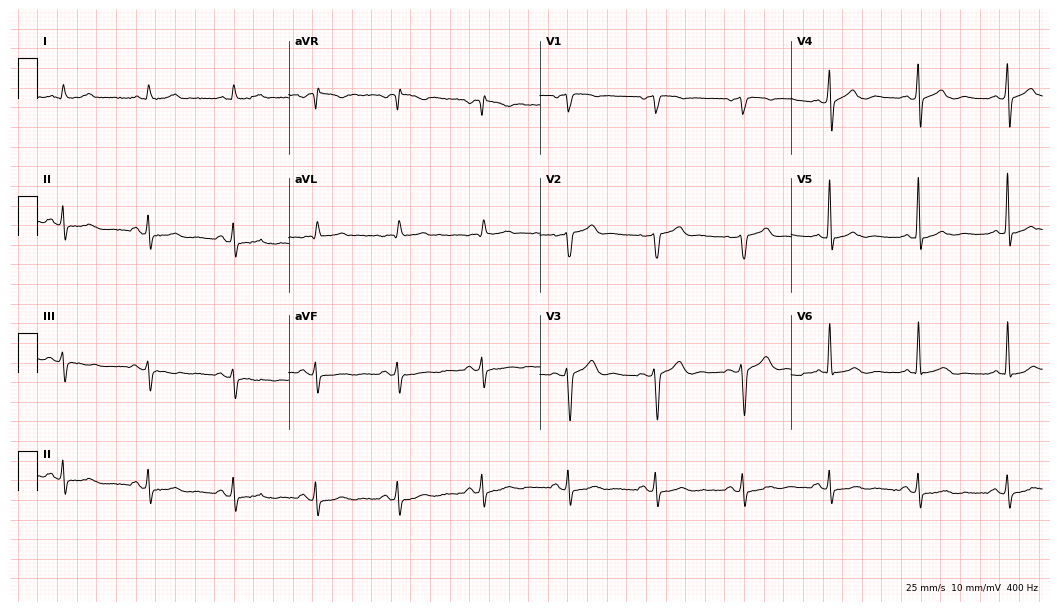
Resting 12-lead electrocardiogram. Patient: a male, 70 years old. Read as a normal ECG.